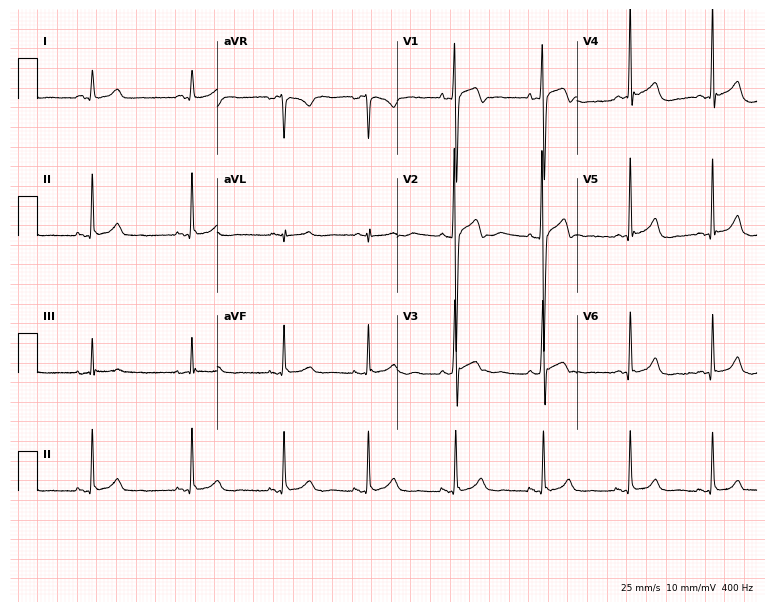
12-lead ECG from a man, 21 years old (7.3-second recording at 400 Hz). Recorded interpretation: within normal limits.